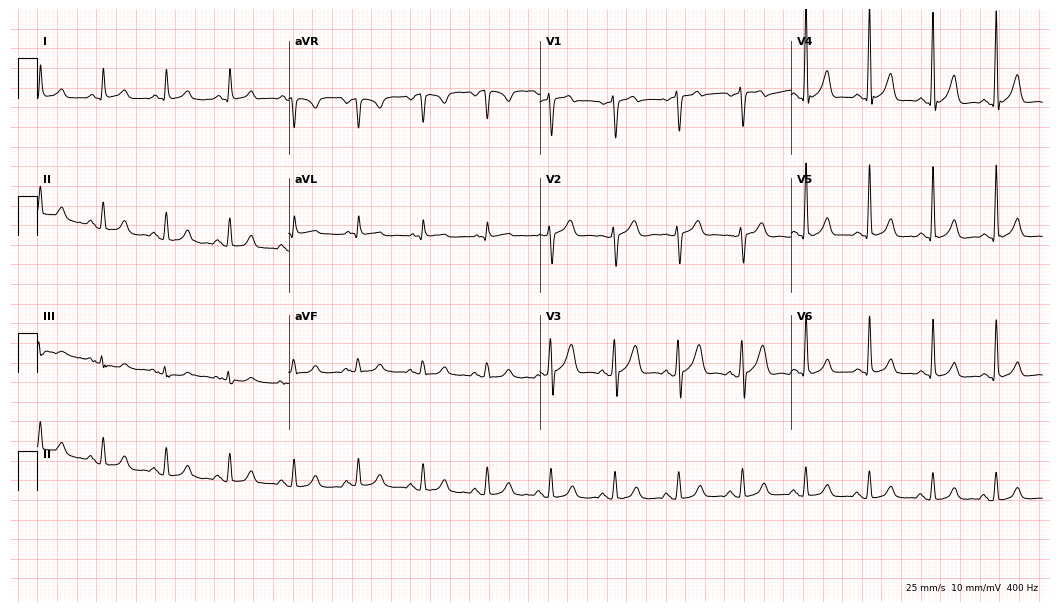
ECG (10.2-second recording at 400 Hz) — a male, 60 years old. Screened for six findings — first-degree AV block, right bundle branch block, left bundle branch block, sinus bradycardia, atrial fibrillation, sinus tachycardia — none is recorded. Only these six findings were labelled.